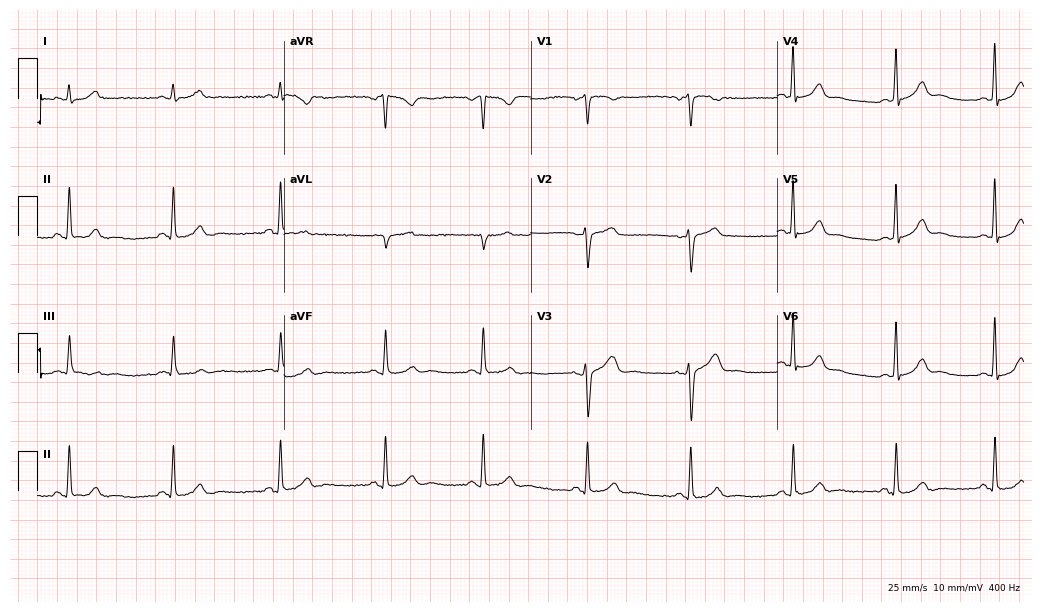
Standard 12-lead ECG recorded from a female, 53 years old (10.1-second recording at 400 Hz). Read as a normal ECG.